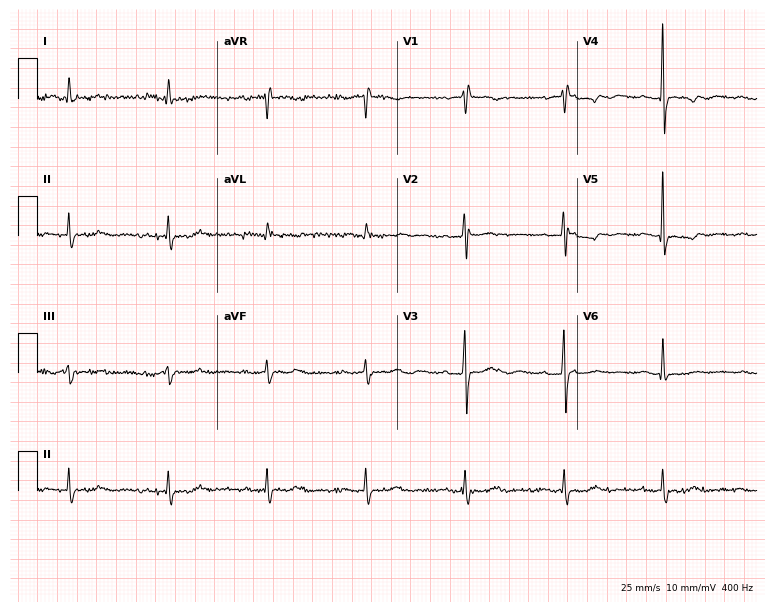
Electrocardiogram, a male patient, 77 years old. Of the six screened findings (first-degree AV block, right bundle branch block, left bundle branch block, sinus bradycardia, atrial fibrillation, sinus tachycardia), none is recorded. Only these six findings were labelled.